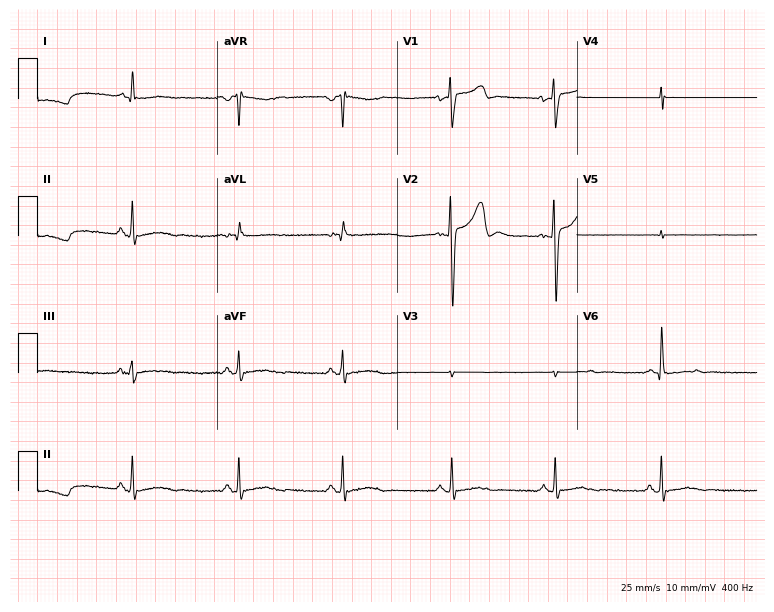
12-lead ECG from a 30-year-old man (7.3-second recording at 400 Hz). No first-degree AV block, right bundle branch block, left bundle branch block, sinus bradycardia, atrial fibrillation or sinus tachycardia recorded for this tracing.